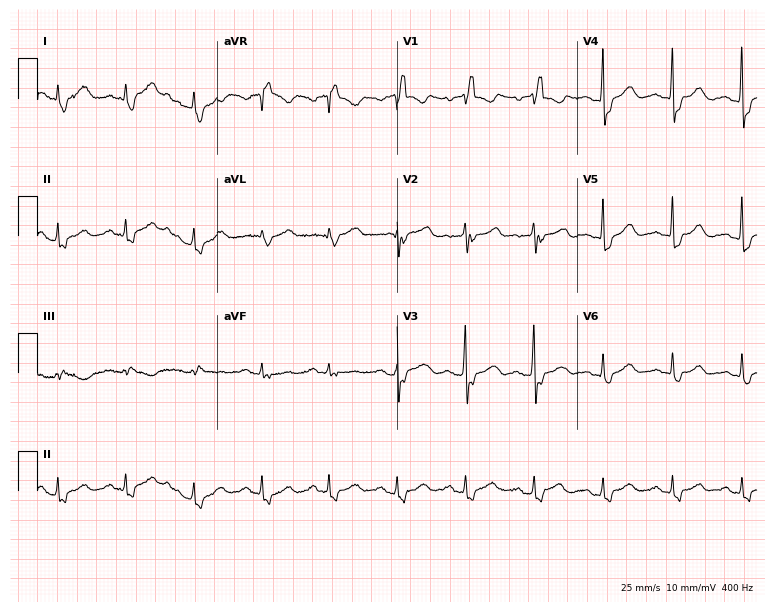
Standard 12-lead ECG recorded from a female patient, 76 years old (7.3-second recording at 400 Hz). The tracing shows right bundle branch block.